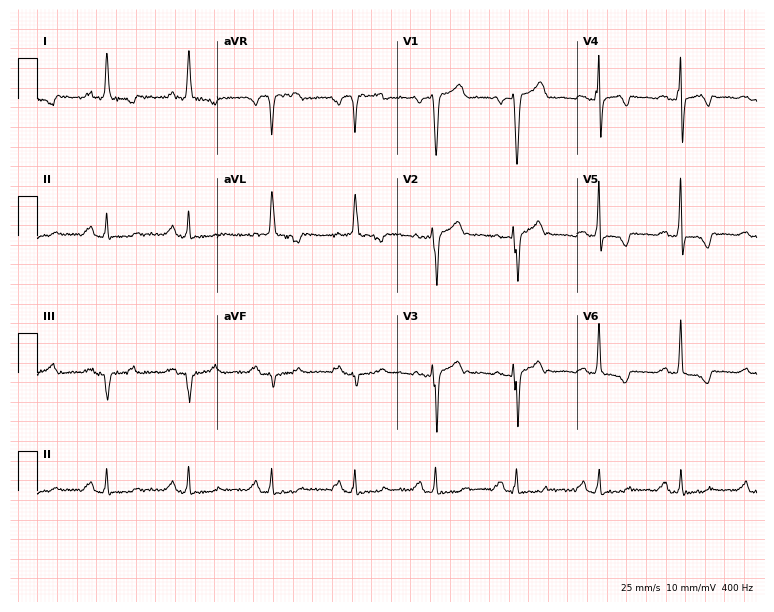
12-lead ECG (7.3-second recording at 400 Hz) from a female patient, 47 years old. Screened for six findings — first-degree AV block, right bundle branch block, left bundle branch block, sinus bradycardia, atrial fibrillation, sinus tachycardia — none is recorded. Other findings, if any, are not listed.